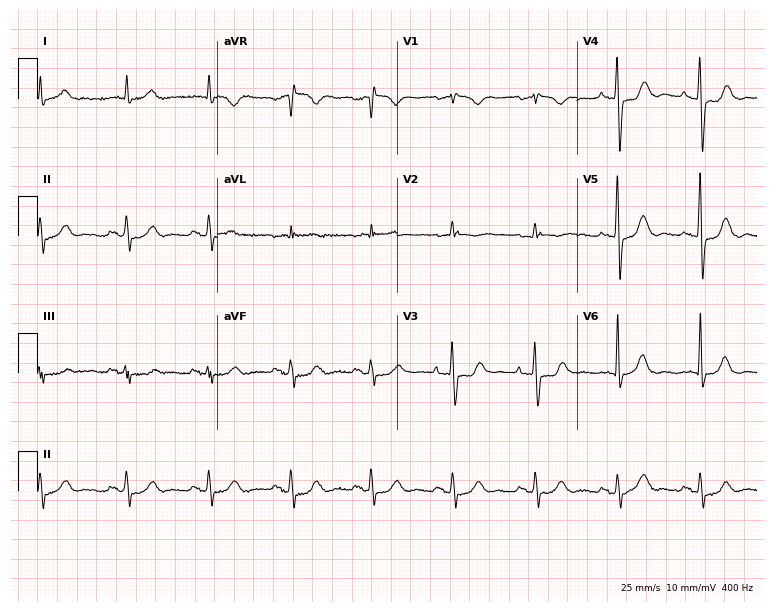
12-lead ECG from an 80-year-old woman. No first-degree AV block, right bundle branch block (RBBB), left bundle branch block (LBBB), sinus bradycardia, atrial fibrillation (AF) or sinus tachycardia recorded for this tracing. Only these six findings were labelled.